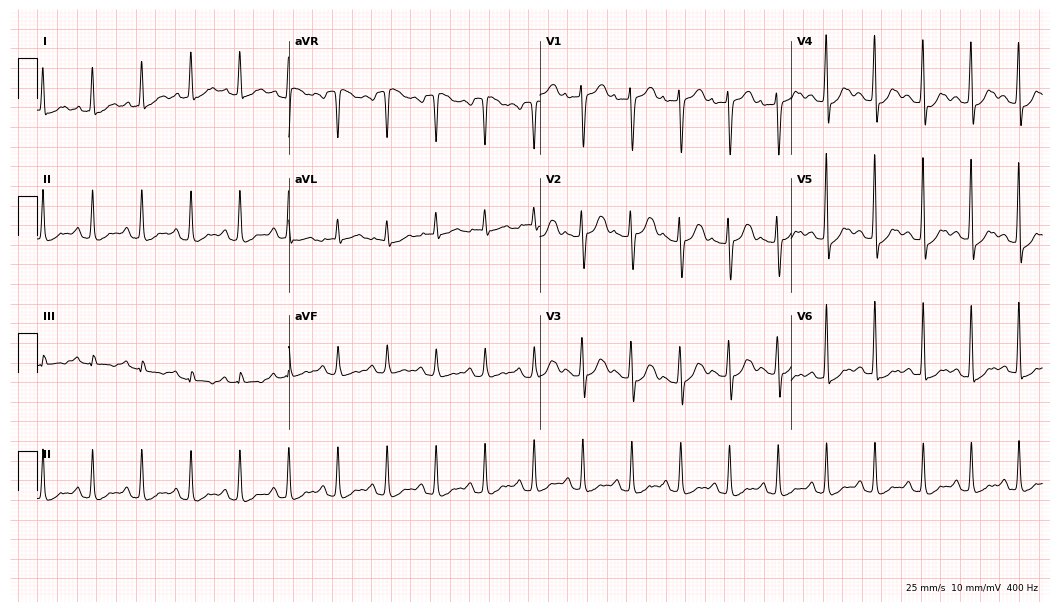
Resting 12-lead electrocardiogram. Patient: a 63-year-old female. The tracing shows sinus tachycardia (a sinus rate of 100 beats per minute or more).